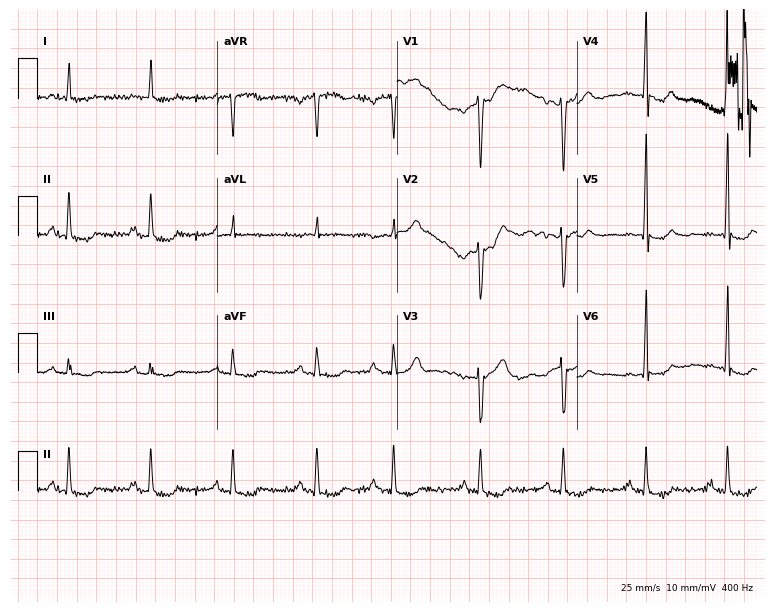
ECG — an 83-year-old male patient. Screened for six findings — first-degree AV block, right bundle branch block, left bundle branch block, sinus bradycardia, atrial fibrillation, sinus tachycardia — none is recorded.